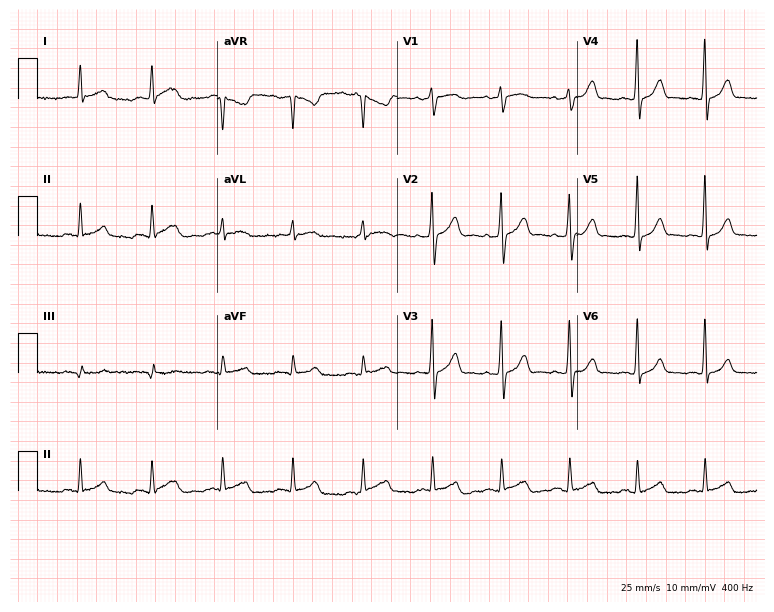
12-lead ECG (7.3-second recording at 400 Hz) from a 48-year-old man. Labelled as a normal ECG.